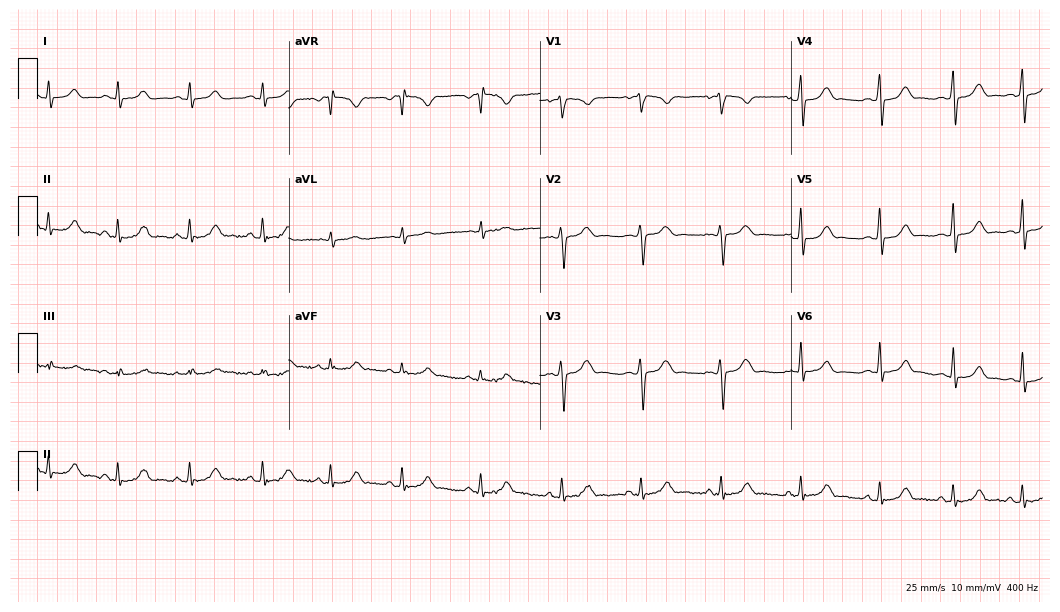
12-lead ECG (10.2-second recording at 400 Hz) from a female patient, 17 years old. Labelled as a normal ECG.